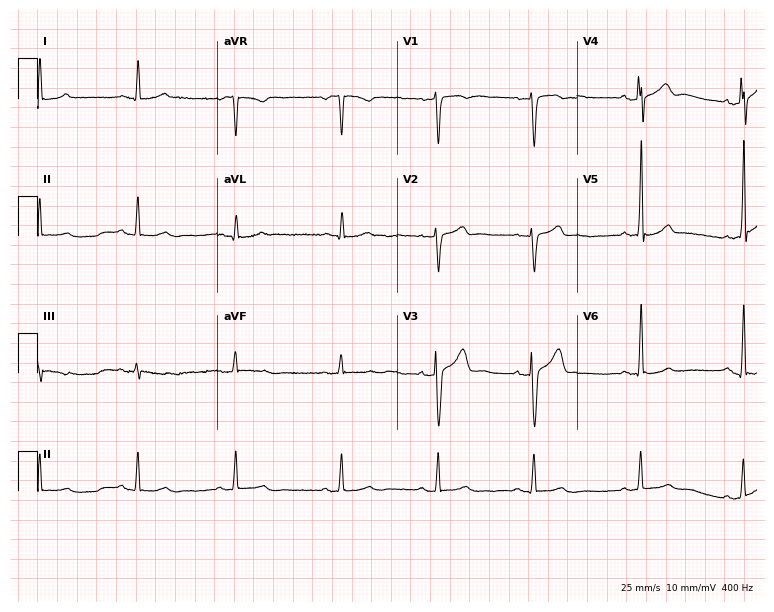
Standard 12-lead ECG recorded from a 40-year-old man (7.3-second recording at 400 Hz). Read as a normal ECG.